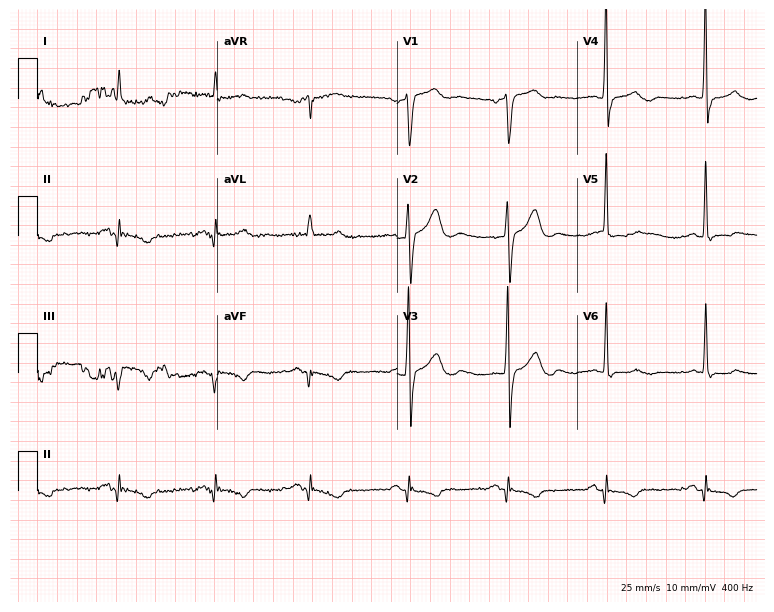
Resting 12-lead electrocardiogram (7.3-second recording at 400 Hz). Patient: a male, 62 years old. None of these six findings is recorded: first-degree AV block, right bundle branch block, left bundle branch block, sinus bradycardia, atrial fibrillation, sinus tachycardia.